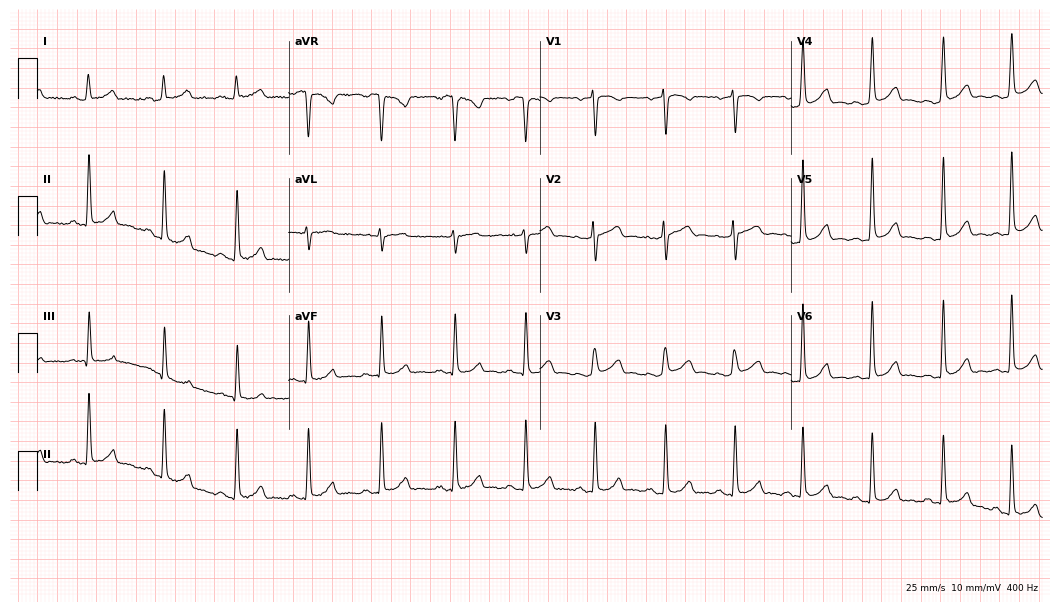
12-lead ECG from a female, 37 years old. Recorded interpretation: within normal limits.